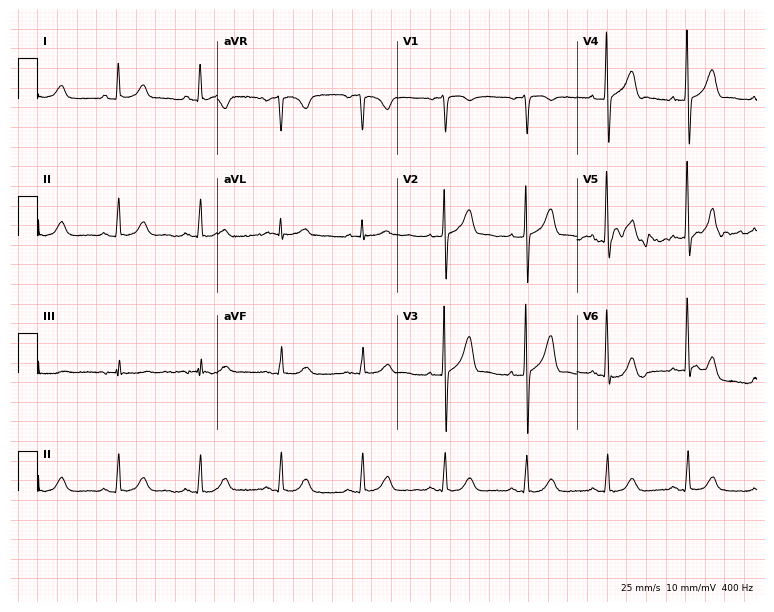
Electrocardiogram, a male, 59 years old. Of the six screened findings (first-degree AV block, right bundle branch block, left bundle branch block, sinus bradycardia, atrial fibrillation, sinus tachycardia), none is recorded. Other findings, if any, are not listed.